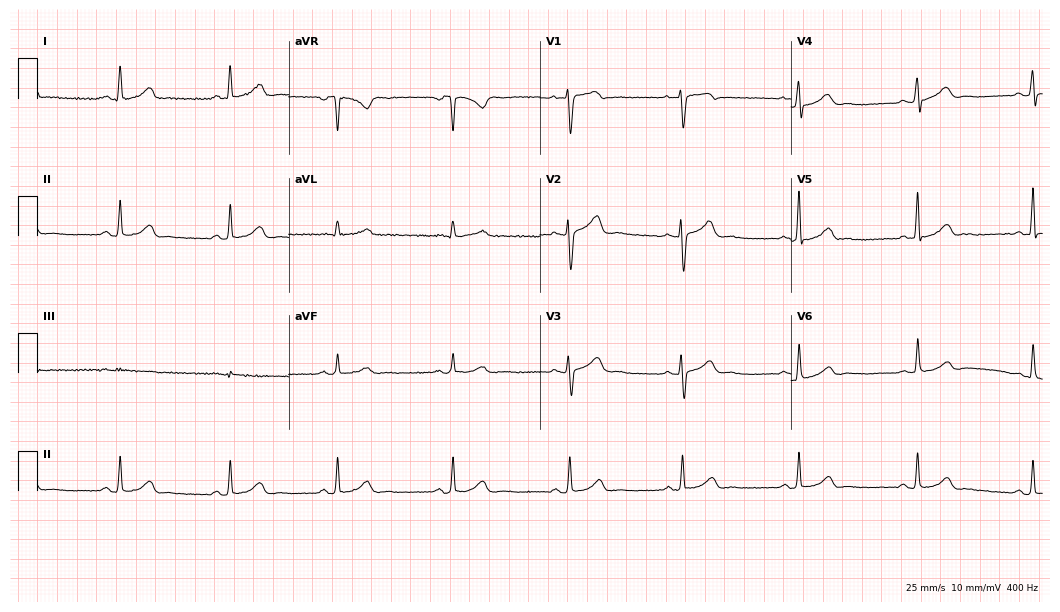
Standard 12-lead ECG recorded from a woman, 36 years old (10.2-second recording at 400 Hz). None of these six findings is recorded: first-degree AV block, right bundle branch block, left bundle branch block, sinus bradycardia, atrial fibrillation, sinus tachycardia. Other findings, if any, are not listed.